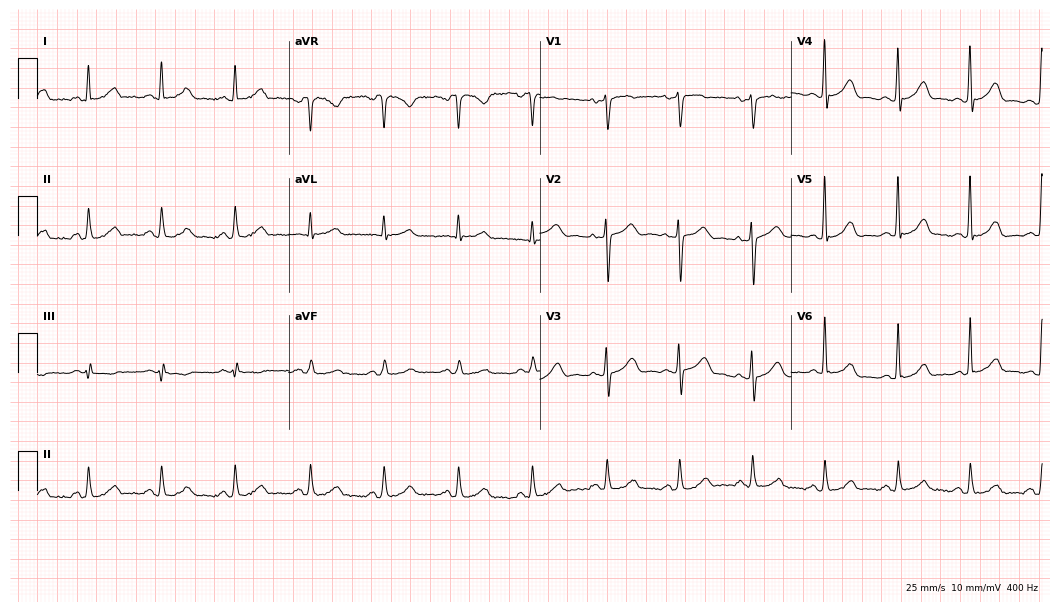
Resting 12-lead electrocardiogram. Patient: a 43-year-old female. Read as a normal ECG.